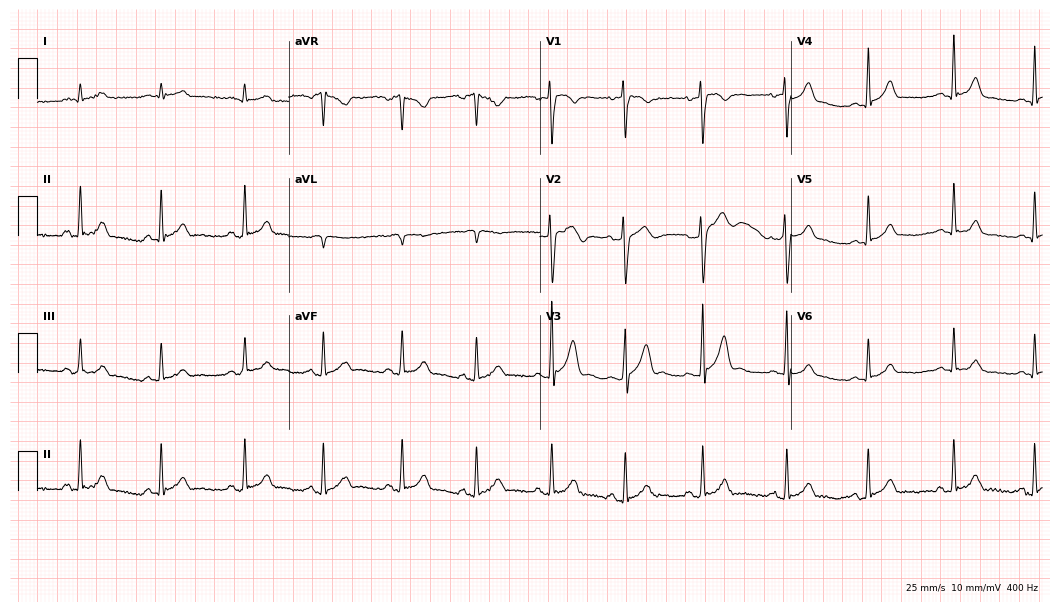
Standard 12-lead ECG recorded from a 26-year-old man (10.2-second recording at 400 Hz). Read as a normal ECG.